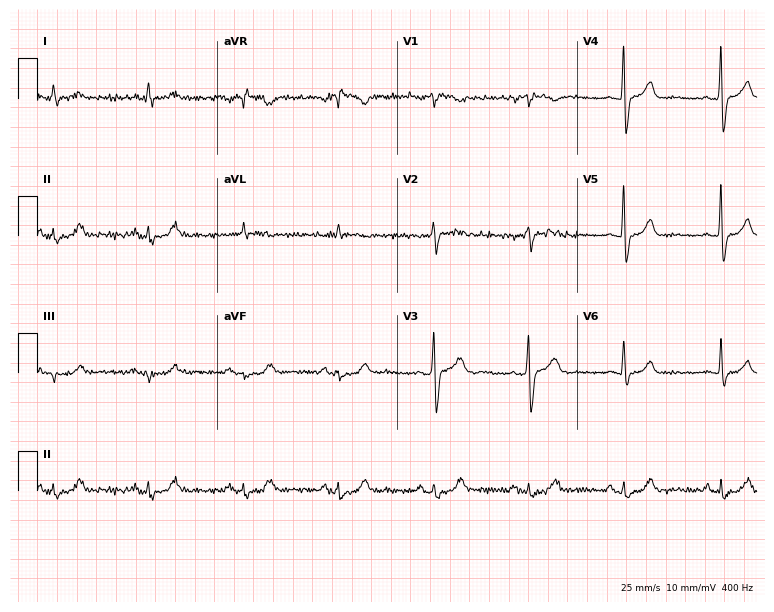
Resting 12-lead electrocardiogram. Patient: a man, 74 years old. Read as a normal ECG.